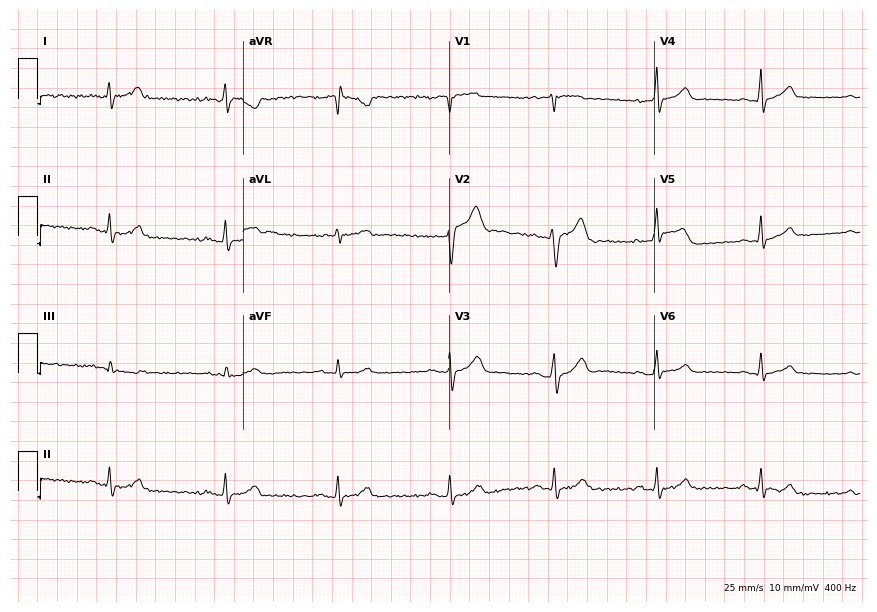
Resting 12-lead electrocardiogram. Patient: a male, 43 years old. Read as a normal ECG.